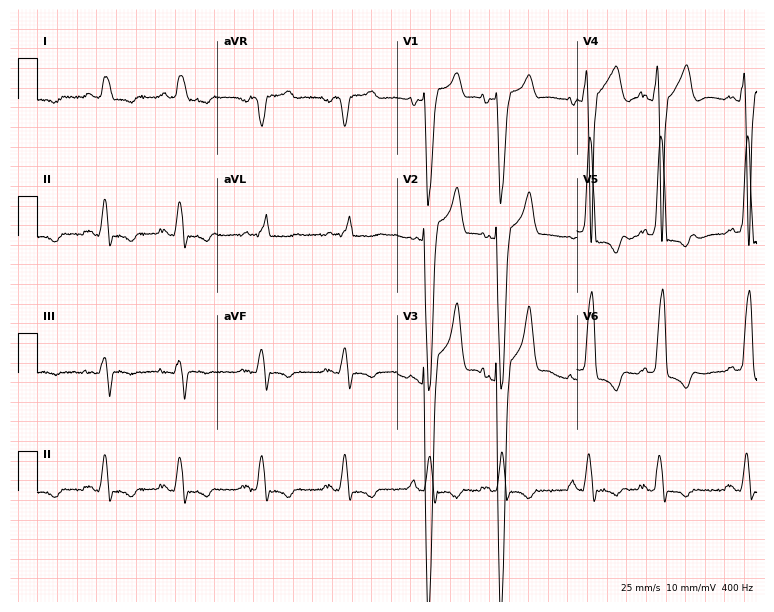
12-lead ECG (7.3-second recording at 400 Hz) from a male patient, 79 years old. Findings include left bundle branch block (LBBB).